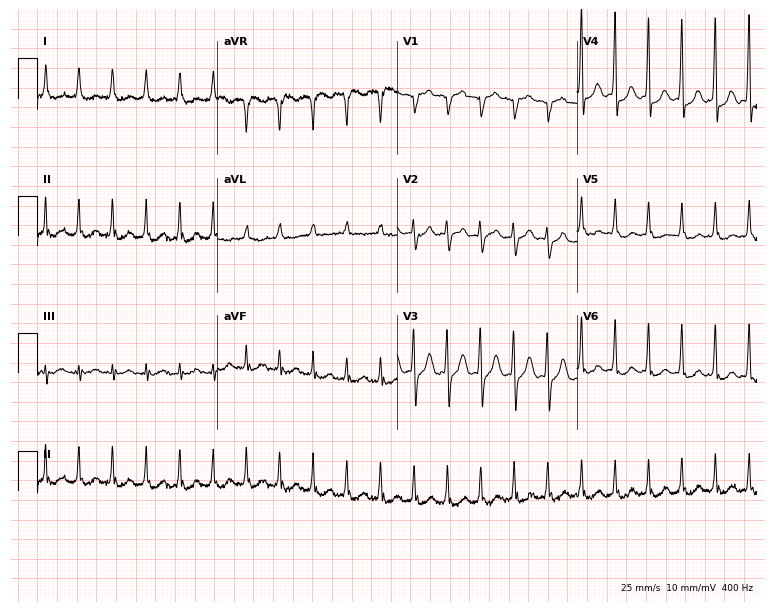
Electrocardiogram, a 69-year-old woman. Of the six screened findings (first-degree AV block, right bundle branch block (RBBB), left bundle branch block (LBBB), sinus bradycardia, atrial fibrillation (AF), sinus tachycardia), none is recorded.